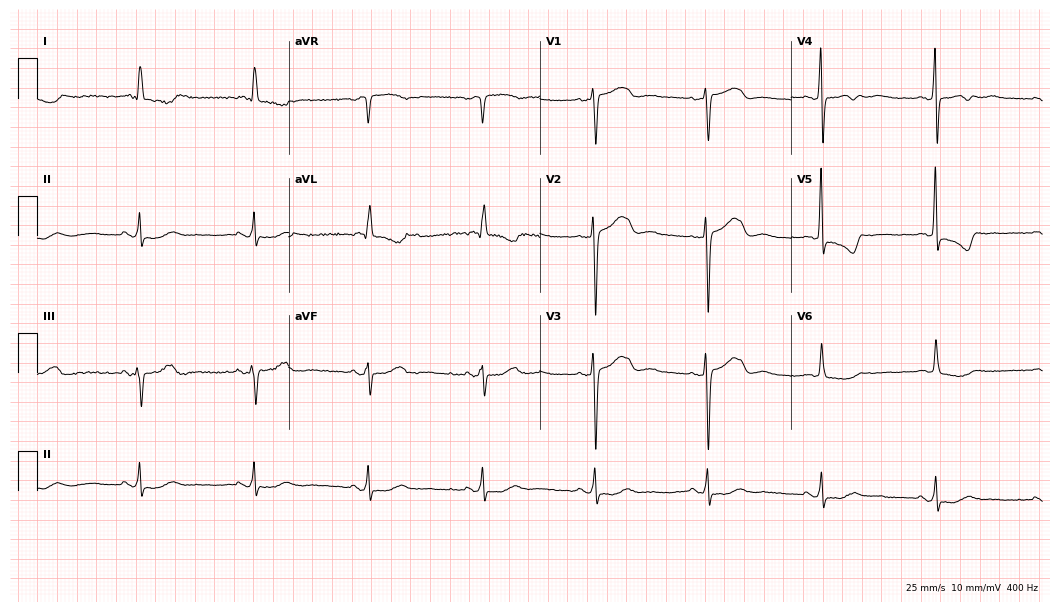
Electrocardiogram, a 66-year-old female. Of the six screened findings (first-degree AV block, right bundle branch block, left bundle branch block, sinus bradycardia, atrial fibrillation, sinus tachycardia), none is recorded.